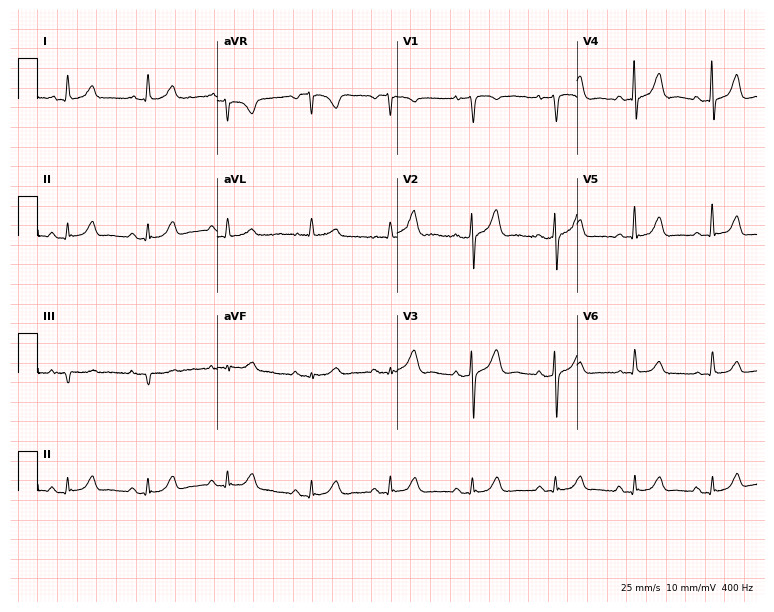
Resting 12-lead electrocardiogram (7.3-second recording at 400 Hz). Patient: a 70-year-old woman. Read as a normal ECG.